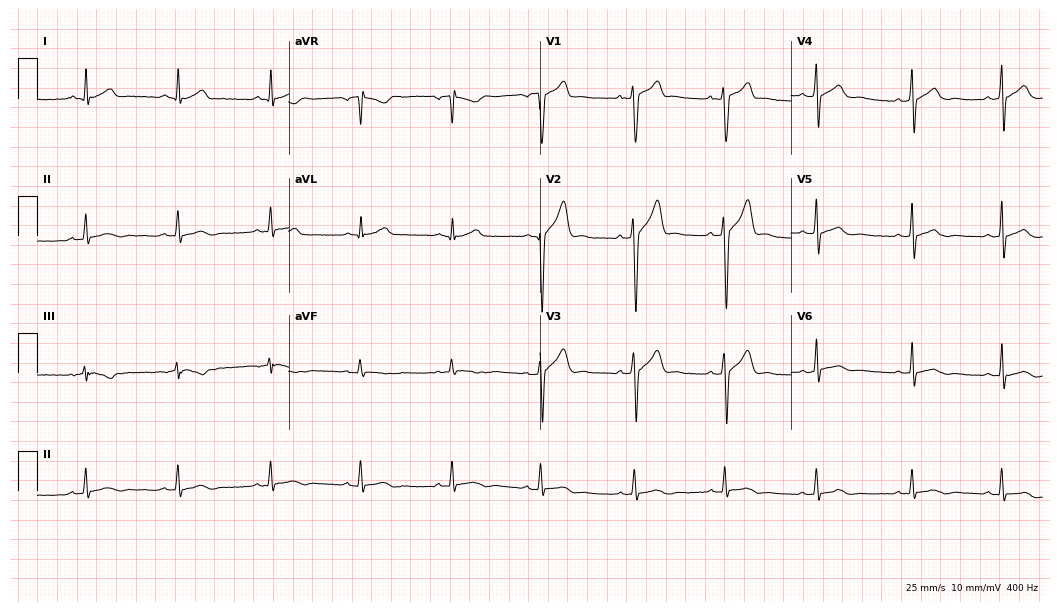
Resting 12-lead electrocardiogram (10.2-second recording at 400 Hz). Patient: a 37-year-old male. Read as a normal ECG.